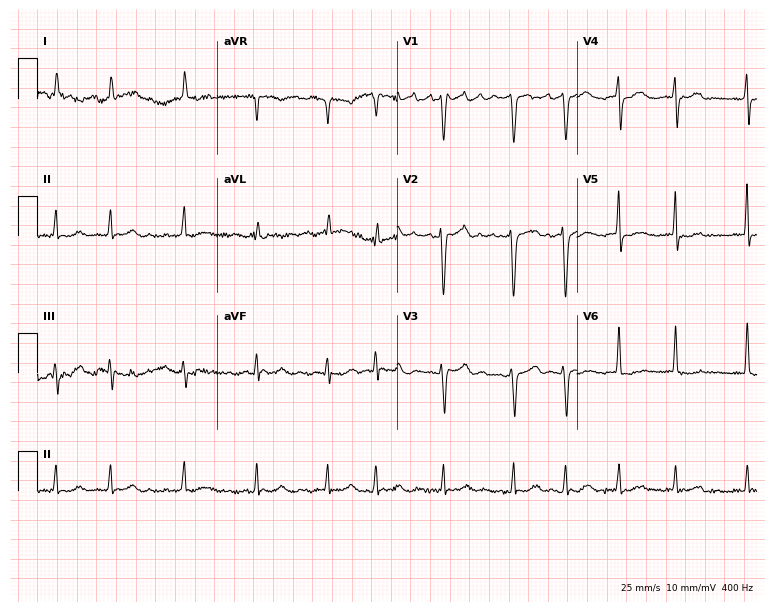
Resting 12-lead electrocardiogram. Patient: a female, 62 years old. The tracing shows atrial fibrillation.